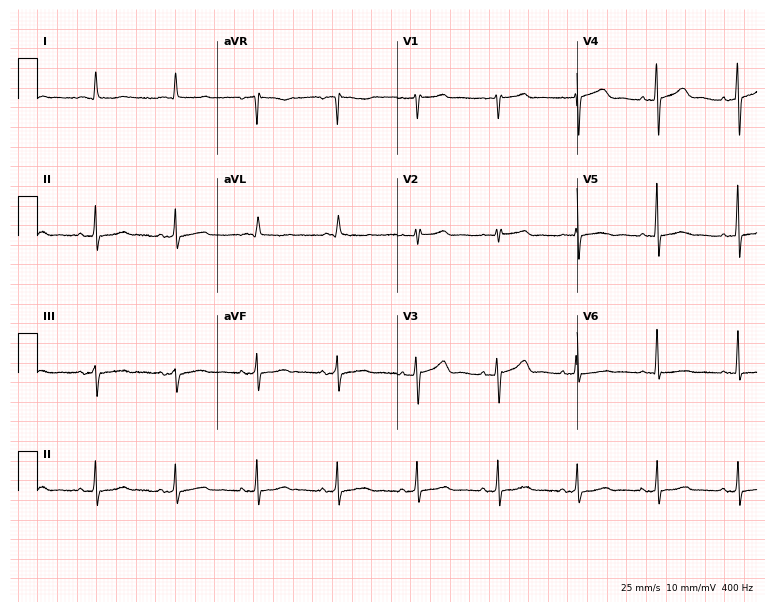
Standard 12-lead ECG recorded from a woman, 68 years old. Read as a normal ECG.